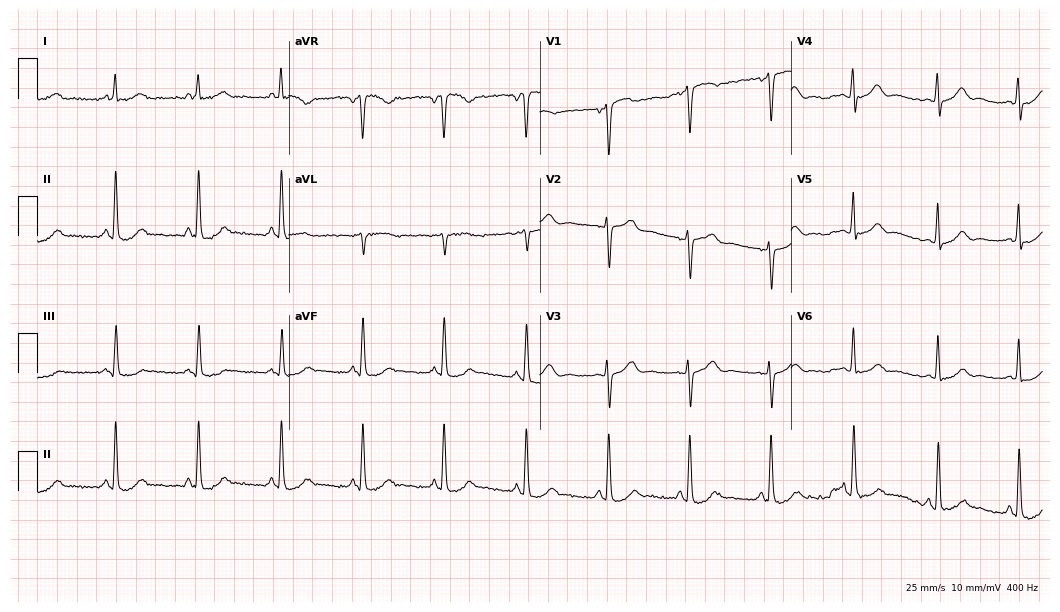
12-lead ECG from a female patient, 43 years old. Screened for six findings — first-degree AV block, right bundle branch block, left bundle branch block, sinus bradycardia, atrial fibrillation, sinus tachycardia — none is recorded.